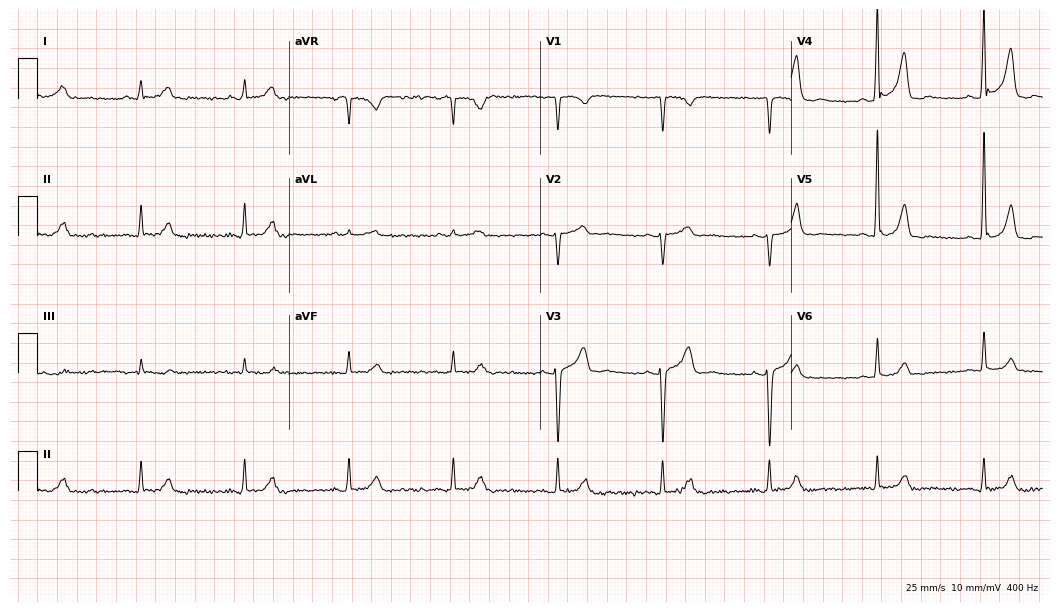
Electrocardiogram, a male, 52 years old. Overall reading on record: normal ECG.